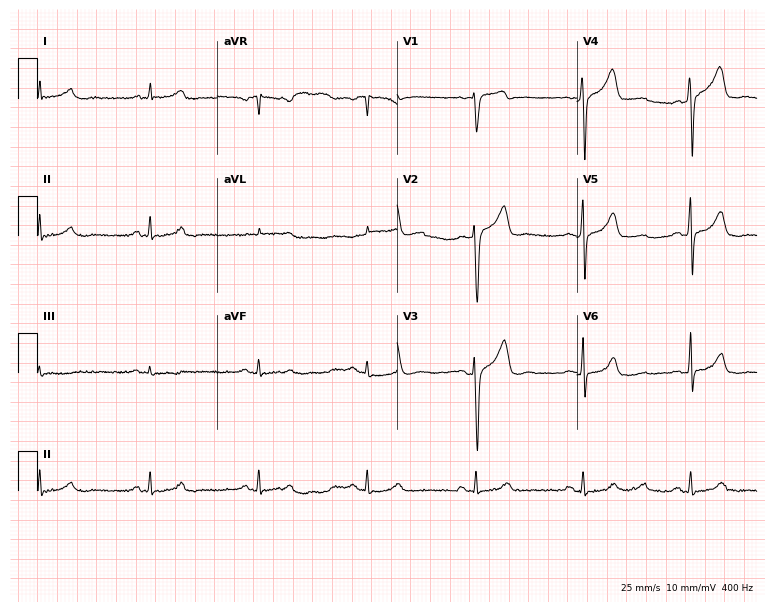
ECG — a male patient, 57 years old. Labelled as a normal ECG.